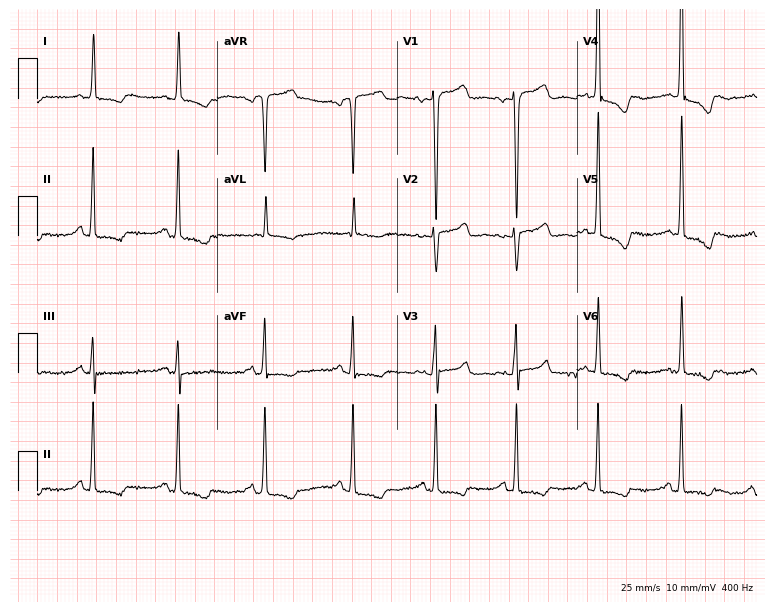
Electrocardiogram, a male patient, 53 years old. Of the six screened findings (first-degree AV block, right bundle branch block, left bundle branch block, sinus bradycardia, atrial fibrillation, sinus tachycardia), none is recorded.